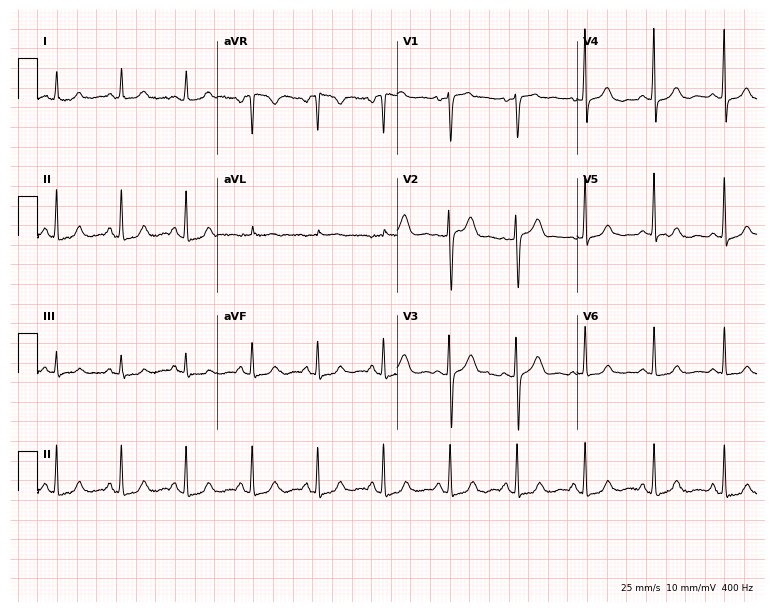
Electrocardiogram, a 39-year-old female patient. Of the six screened findings (first-degree AV block, right bundle branch block (RBBB), left bundle branch block (LBBB), sinus bradycardia, atrial fibrillation (AF), sinus tachycardia), none is recorded. Findings outside these six are not listed.